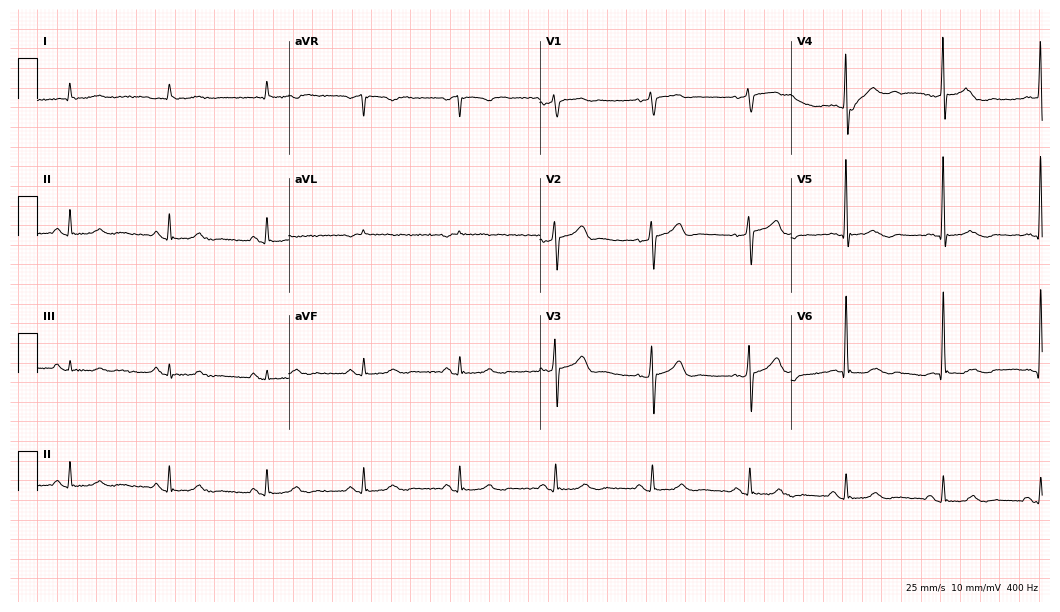
Electrocardiogram, a male, 84 years old. Overall reading on record: normal ECG.